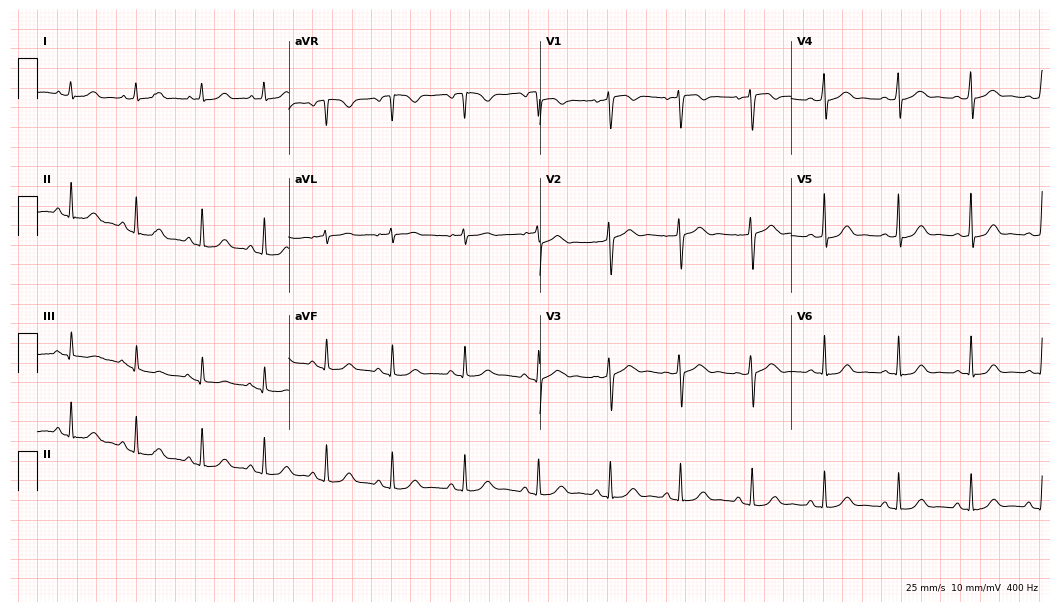
ECG — a 47-year-old female patient. Screened for six findings — first-degree AV block, right bundle branch block (RBBB), left bundle branch block (LBBB), sinus bradycardia, atrial fibrillation (AF), sinus tachycardia — none is recorded. Other findings, if any, are not listed.